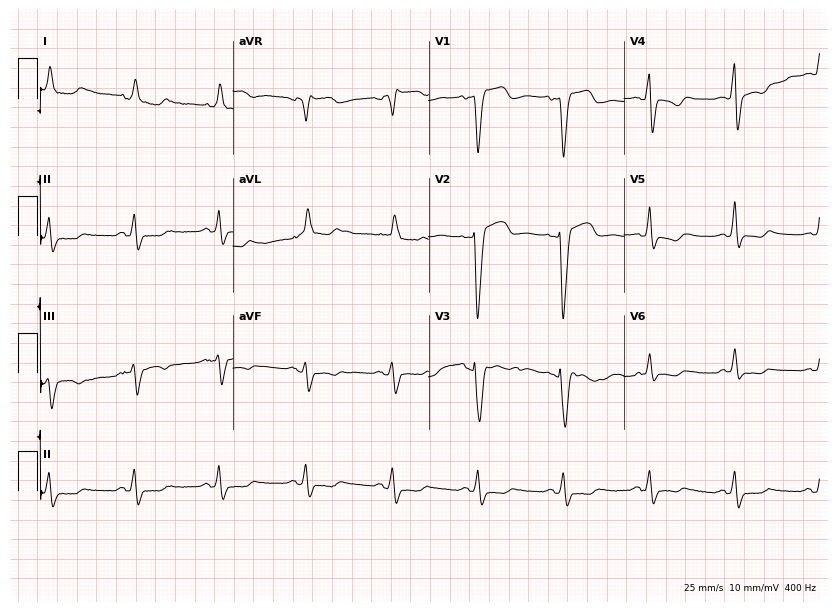
Resting 12-lead electrocardiogram. Patient: an 85-year-old female. The tracing shows left bundle branch block.